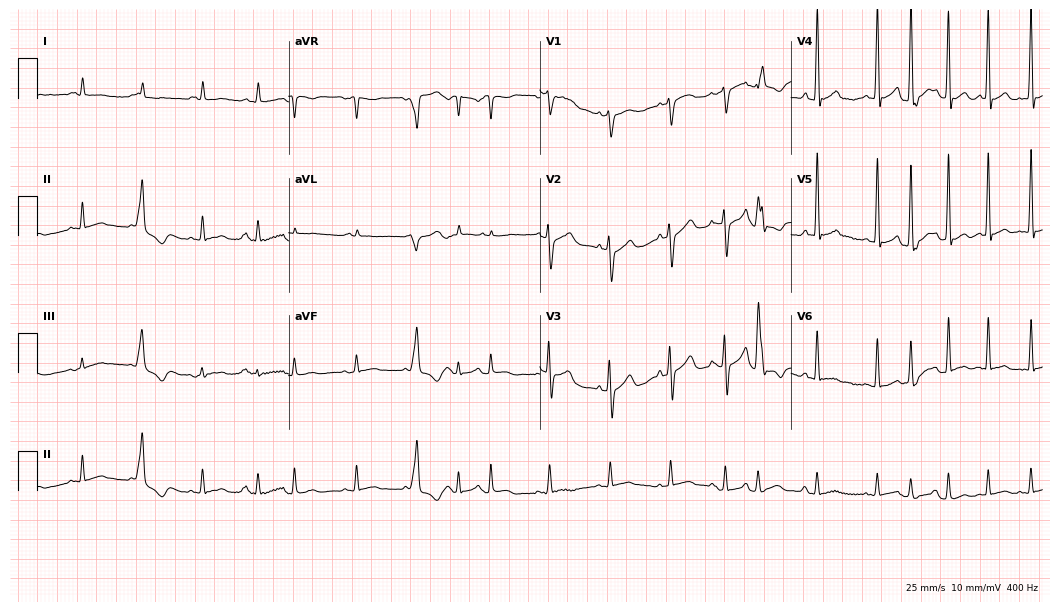
ECG (10.2-second recording at 400 Hz) — a man, 78 years old. Findings include sinus tachycardia (a sinus rate of 100 beats per minute or more).